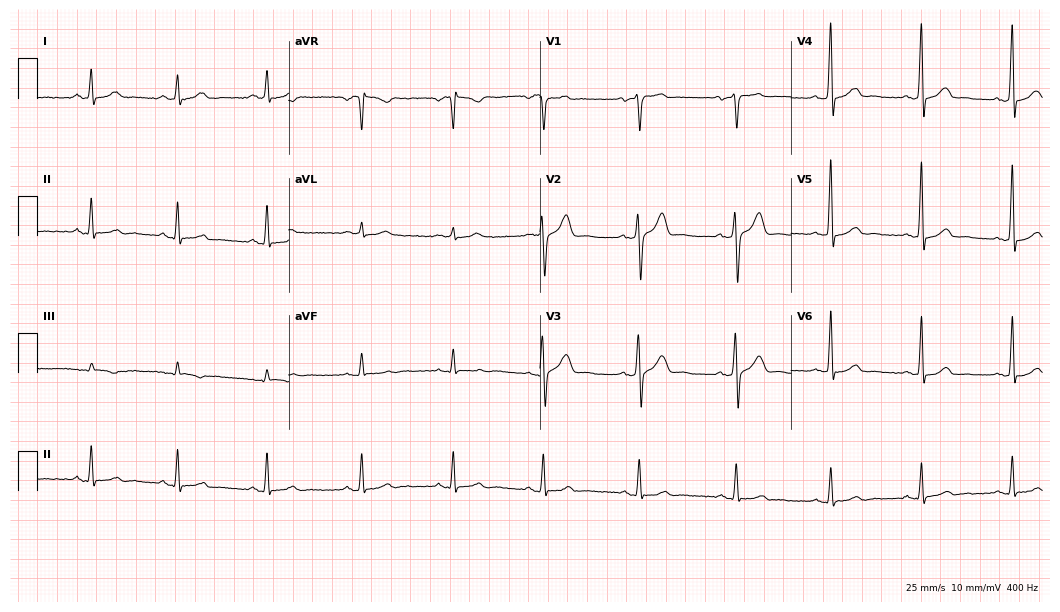
12-lead ECG (10.2-second recording at 400 Hz) from a man, 71 years old. Labelled as a normal ECG.